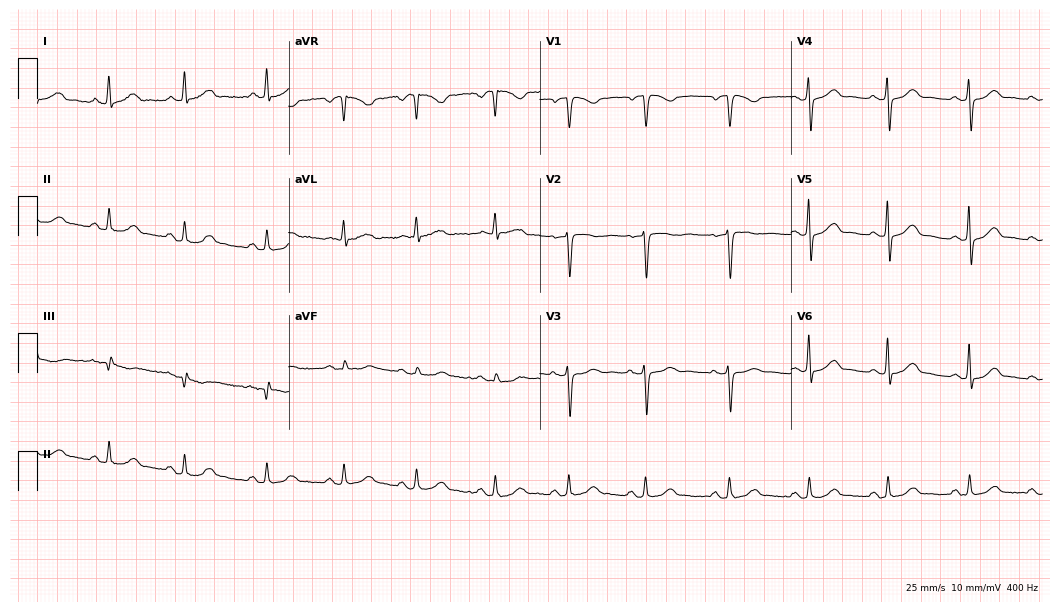
ECG (10.2-second recording at 400 Hz) — a female patient, 45 years old. Screened for six findings — first-degree AV block, right bundle branch block, left bundle branch block, sinus bradycardia, atrial fibrillation, sinus tachycardia — none is recorded. Only these six findings were labelled.